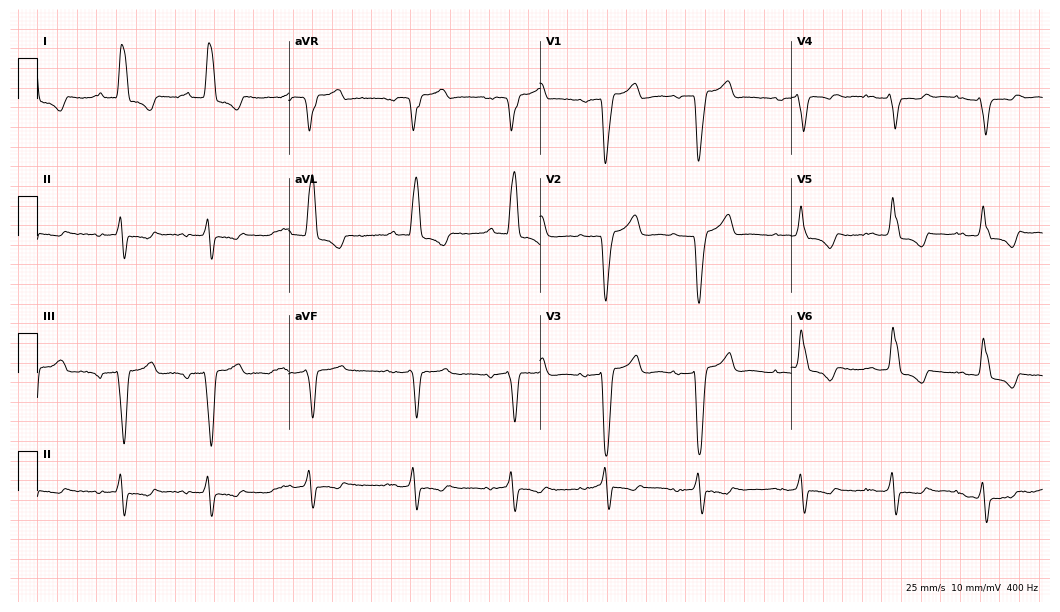
Electrocardiogram (10.2-second recording at 400 Hz), a female, 78 years old. Interpretation includes first-degree AV block, left bundle branch block (LBBB).